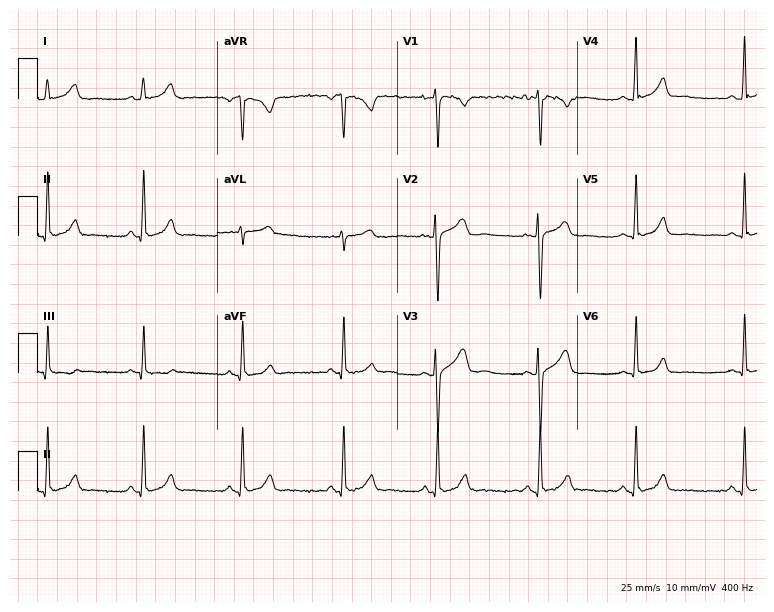
12-lead ECG (7.3-second recording at 400 Hz) from a 23-year-old female patient. Labelled as a normal ECG.